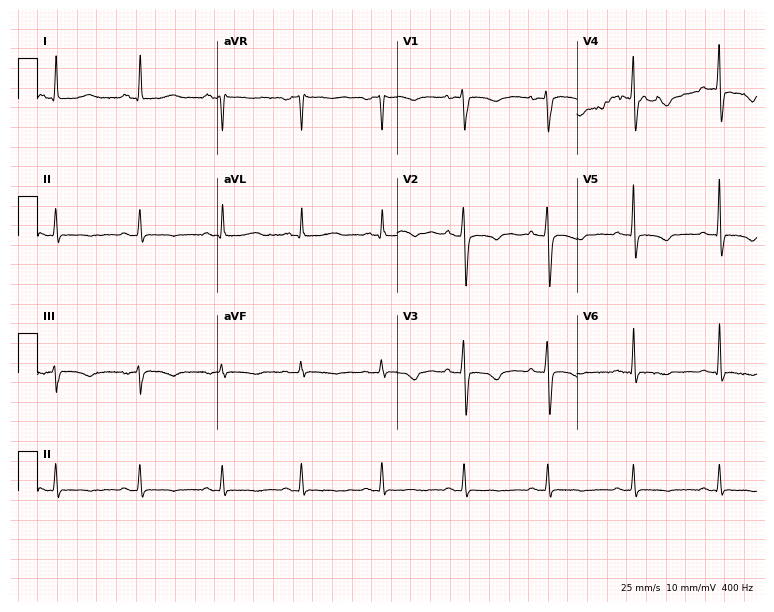
ECG (7.3-second recording at 400 Hz) — a 43-year-old female. Screened for six findings — first-degree AV block, right bundle branch block, left bundle branch block, sinus bradycardia, atrial fibrillation, sinus tachycardia — none is recorded. Only these six findings were labelled.